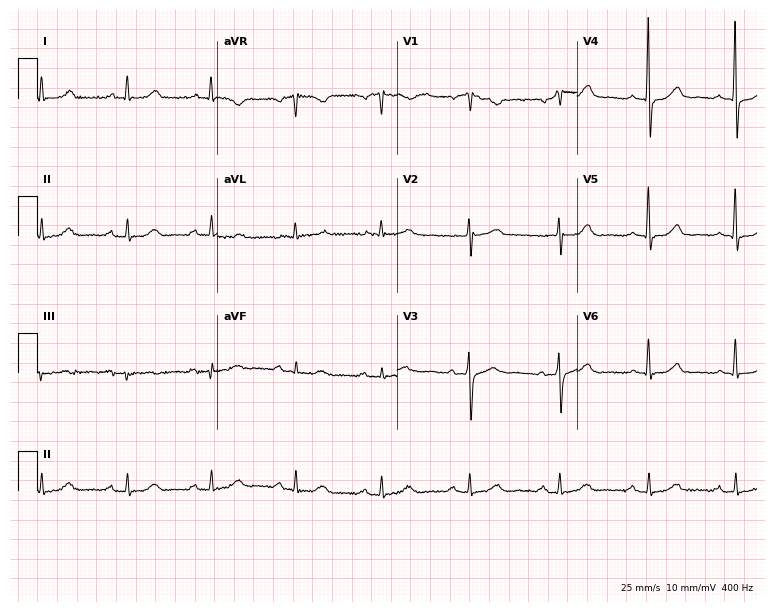
12-lead ECG (7.3-second recording at 400 Hz) from a woman, 64 years old. Labelled as a normal ECG.